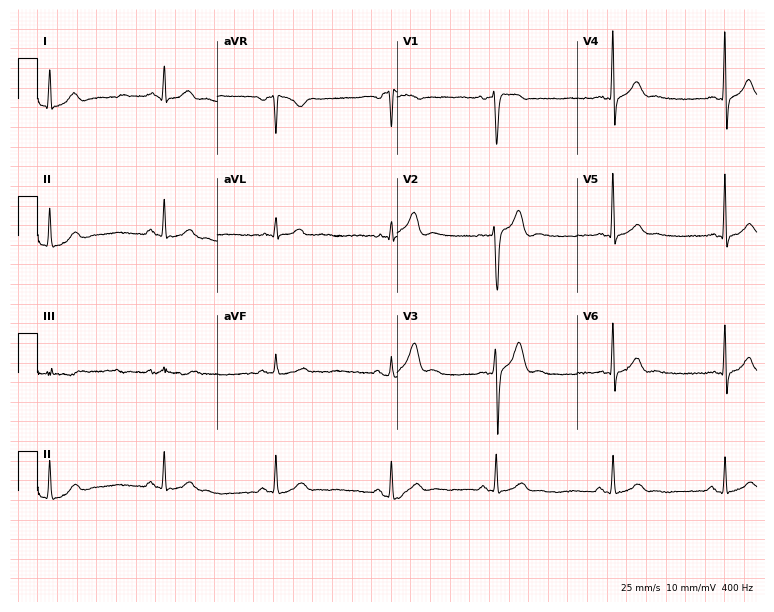
Standard 12-lead ECG recorded from a 26-year-old male patient (7.3-second recording at 400 Hz). Read as a normal ECG.